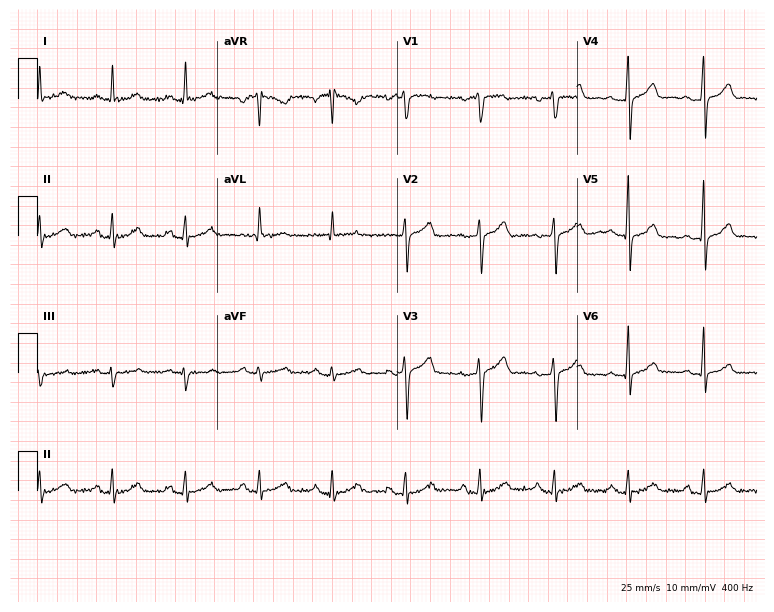
12-lead ECG from a 50-year-old woman (7.3-second recording at 400 Hz). Recorded interpretation: within normal limits.